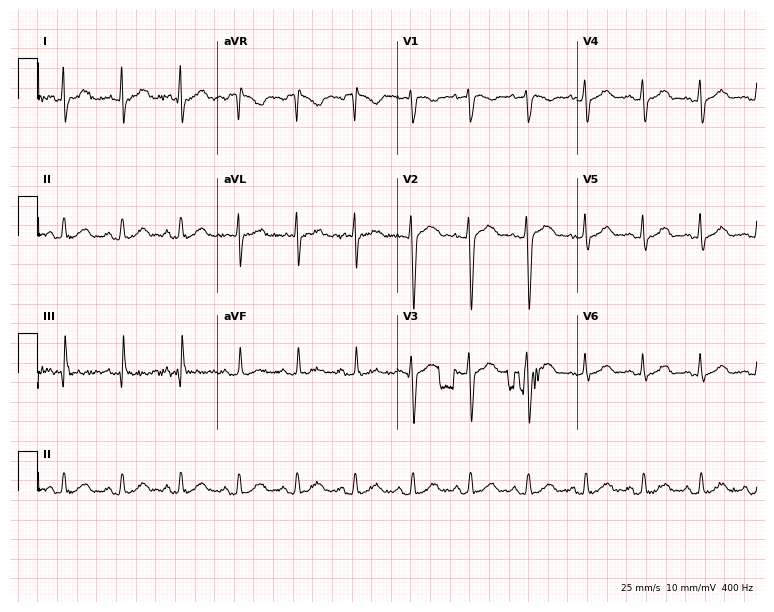
Electrocardiogram, a 26-year-old male patient. Of the six screened findings (first-degree AV block, right bundle branch block, left bundle branch block, sinus bradycardia, atrial fibrillation, sinus tachycardia), none is recorded.